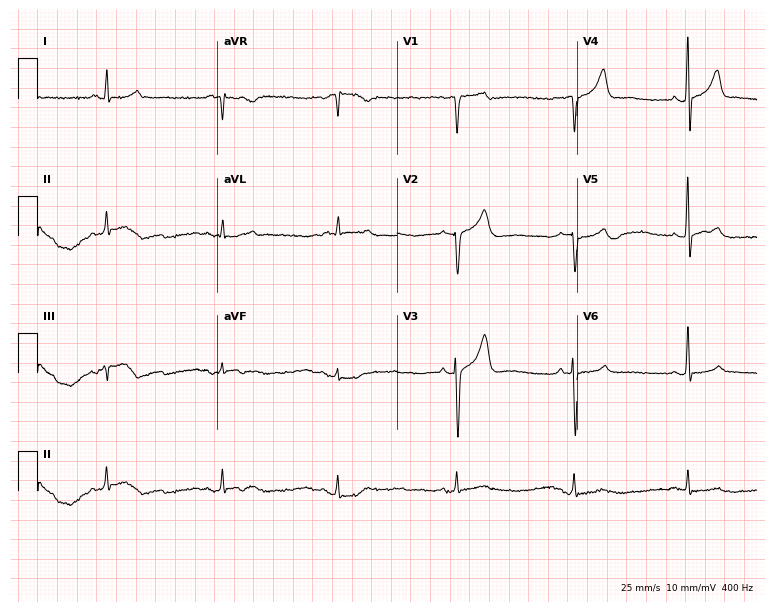
Electrocardiogram (7.3-second recording at 400 Hz), a male patient, 61 years old. Overall reading on record: normal ECG.